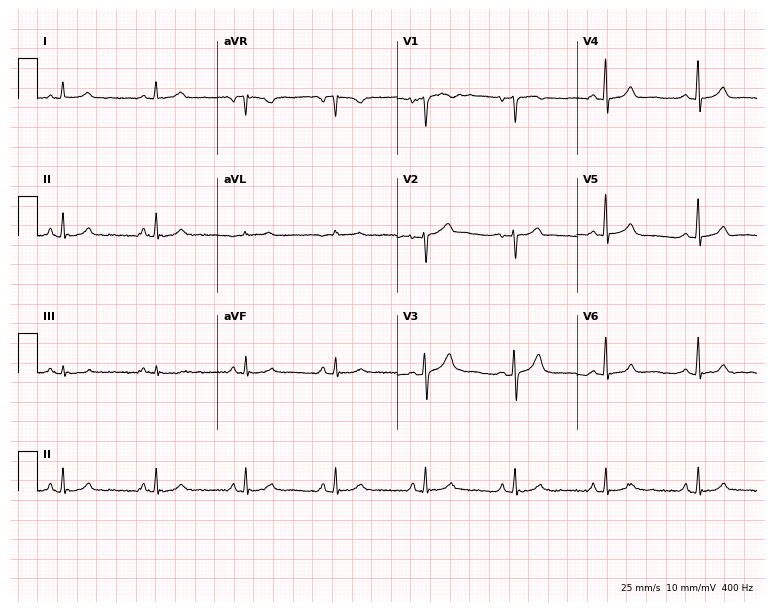
ECG — a 48-year-old female patient. Screened for six findings — first-degree AV block, right bundle branch block, left bundle branch block, sinus bradycardia, atrial fibrillation, sinus tachycardia — none is recorded. Only these six findings were labelled.